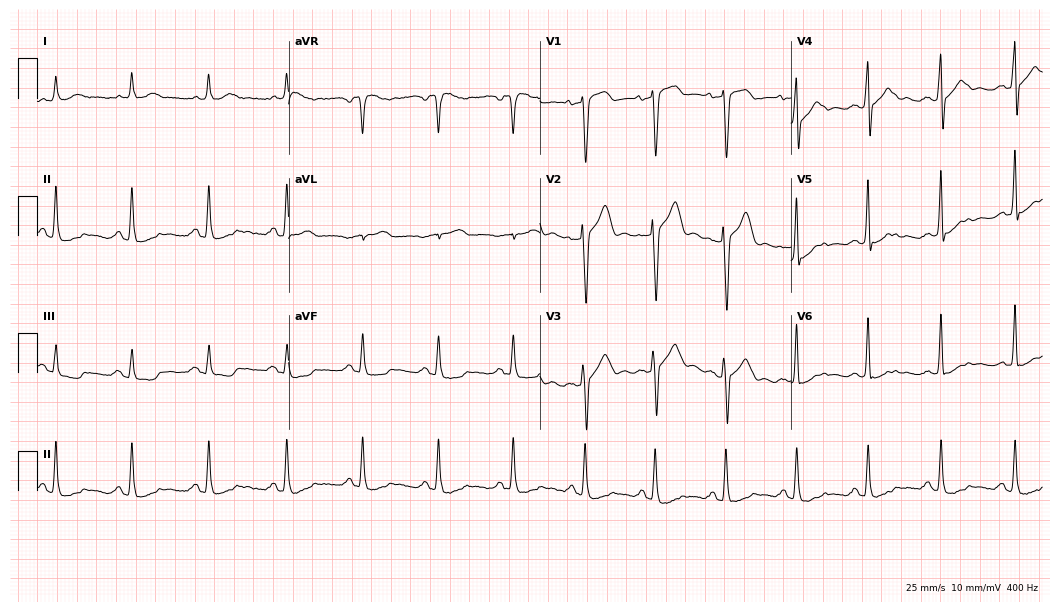
ECG (10.2-second recording at 400 Hz) — a 50-year-old man. Screened for six findings — first-degree AV block, right bundle branch block (RBBB), left bundle branch block (LBBB), sinus bradycardia, atrial fibrillation (AF), sinus tachycardia — none is recorded. Only these six findings were labelled.